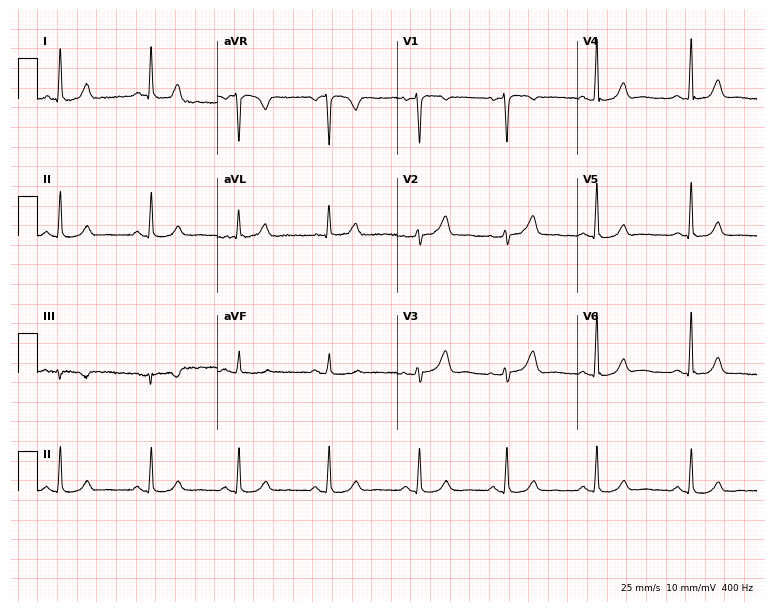
12-lead ECG (7.3-second recording at 400 Hz) from a 60-year-old female. Labelled as a normal ECG.